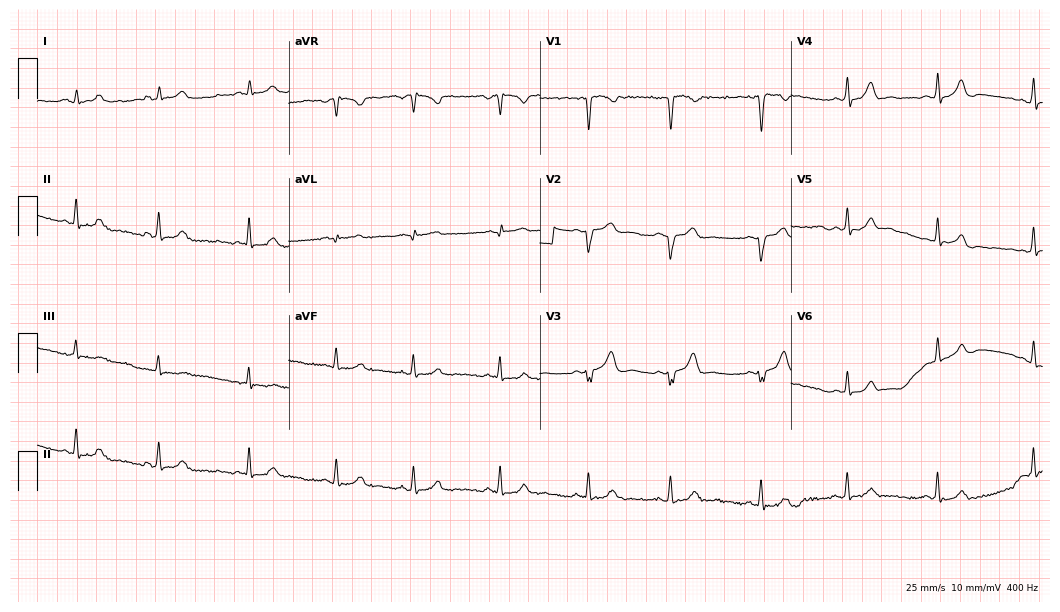
Electrocardiogram, a 24-year-old female. Overall reading on record: normal ECG.